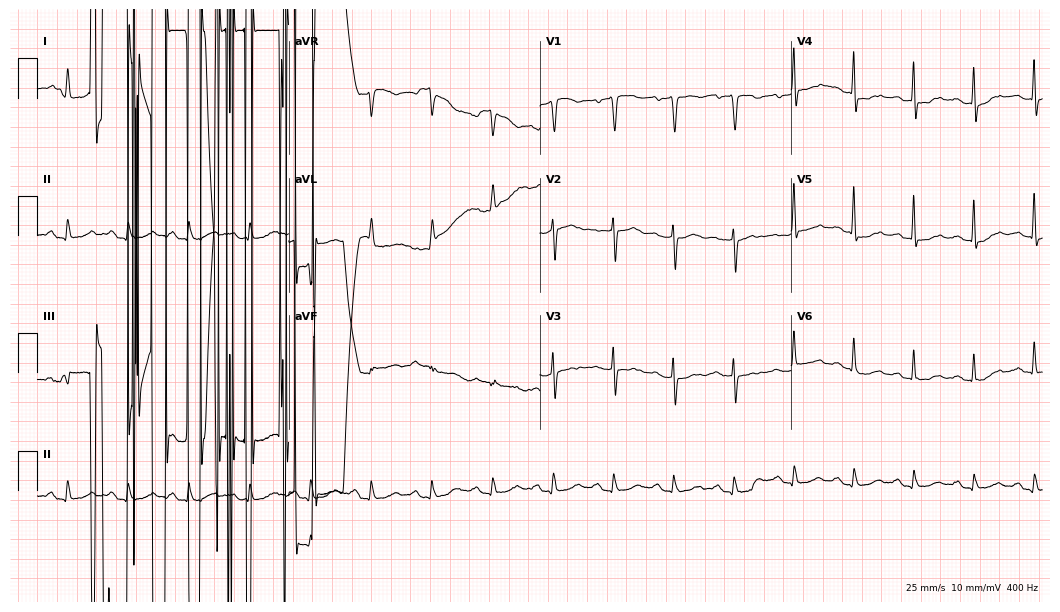
Electrocardiogram, a male patient, 77 years old. Of the six screened findings (first-degree AV block, right bundle branch block, left bundle branch block, sinus bradycardia, atrial fibrillation, sinus tachycardia), none is recorded. Other findings, if any, are not listed.